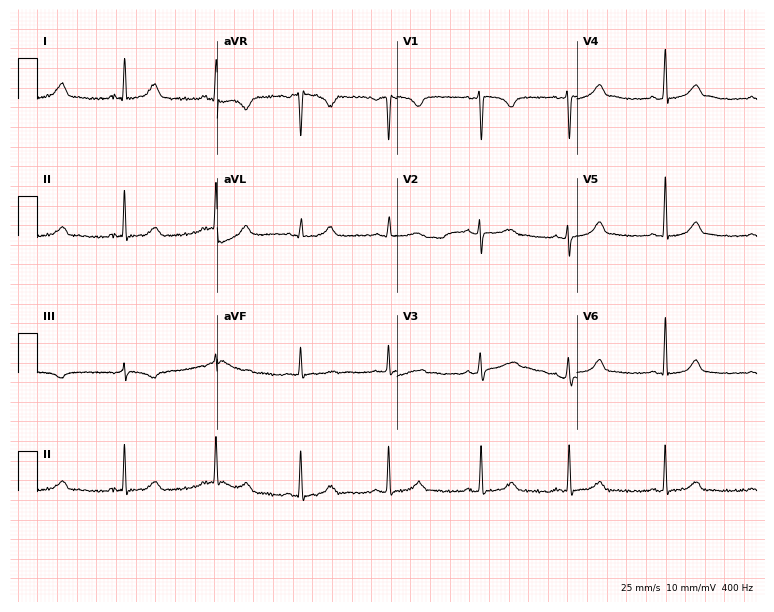
Electrocardiogram (7.3-second recording at 400 Hz), a 21-year-old female. Overall reading on record: normal ECG.